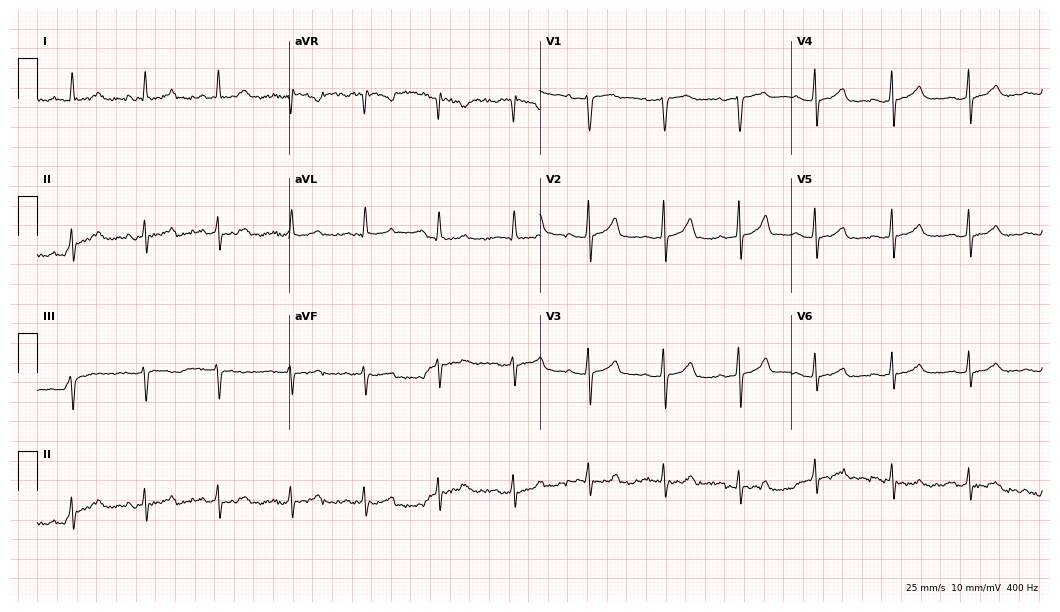
Standard 12-lead ECG recorded from a female, 57 years old. Read as a normal ECG.